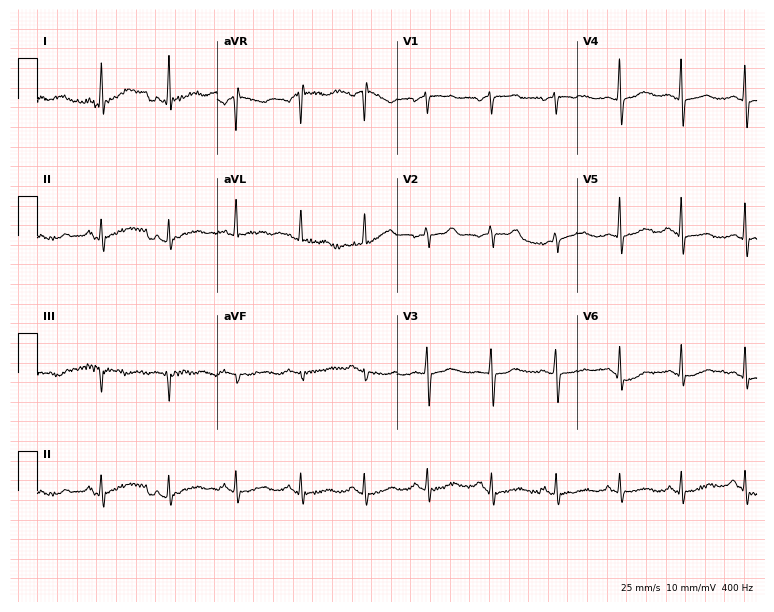
12-lead ECG (7.3-second recording at 400 Hz) from a female patient, 54 years old. Screened for six findings — first-degree AV block, right bundle branch block, left bundle branch block, sinus bradycardia, atrial fibrillation, sinus tachycardia — none is recorded.